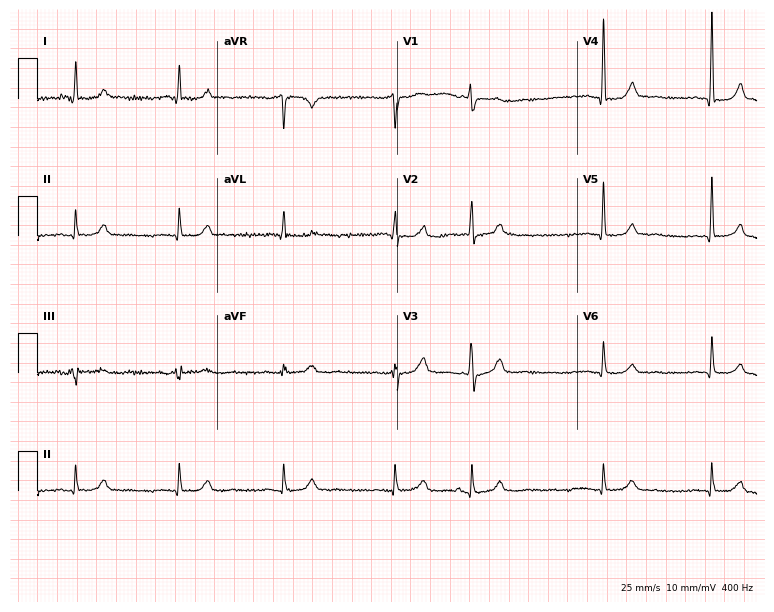
Standard 12-lead ECG recorded from an 81-year-old woman (7.3-second recording at 400 Hz). None of these six findings is recorded: first-degree AV block, right bundle branch block (RBBB), left bundle branch block (LBBB), sinus bradycardia, atrial fibrillation (AF), sinus tachycardia. Only these six findings were labelled.